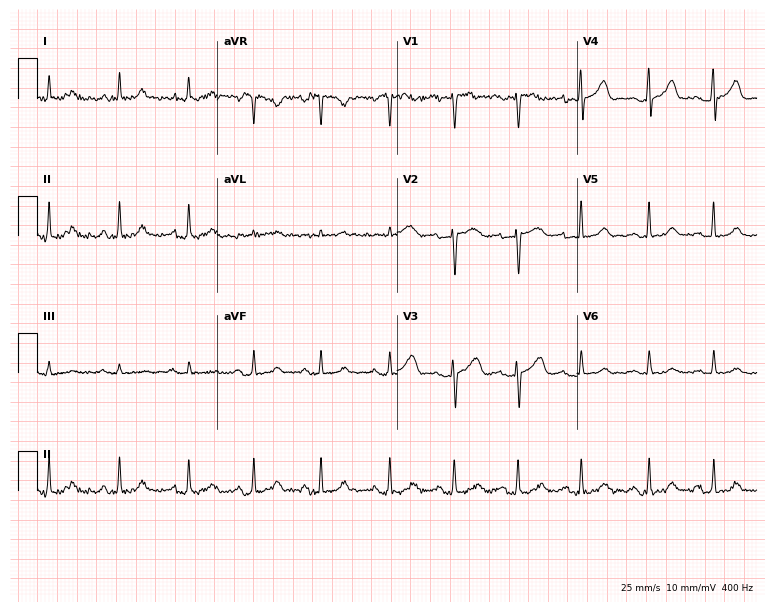
ECG — a 49-year-old female. Labelled as a normal ECG.